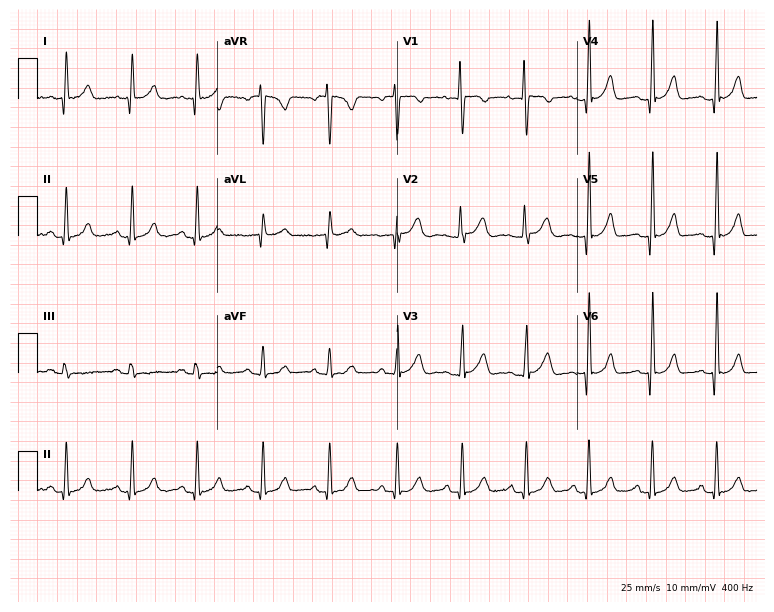
ECG — a 41-year-old female. Labelled as a normal ECG.